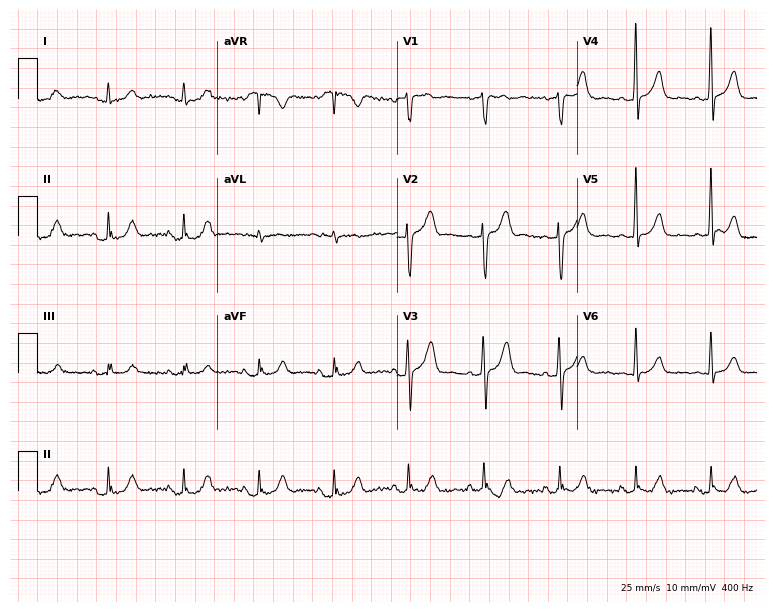
12-lead ECG from a male patient, 58 years old. Labelled as a normal ECG.